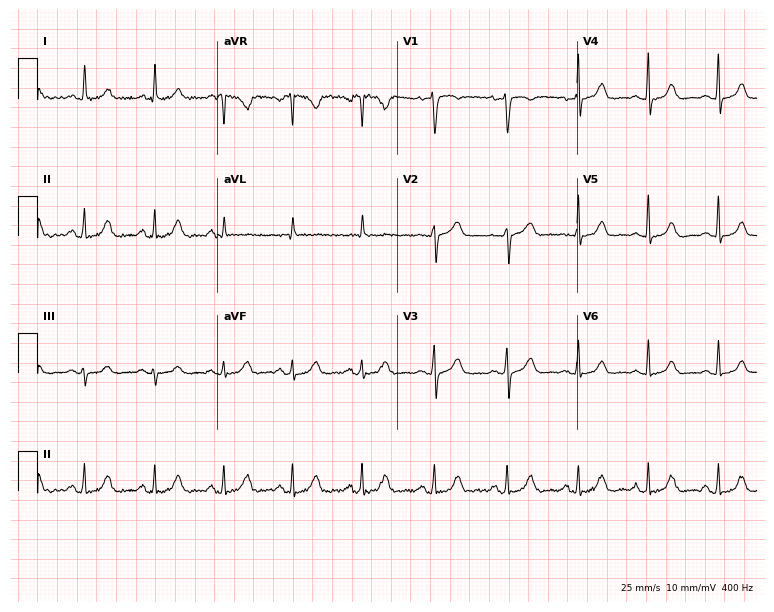
12-lead ECG from a female, 51 years old (7.3-second recording at 400 Hz). Recorded interpretation: within normal limits.